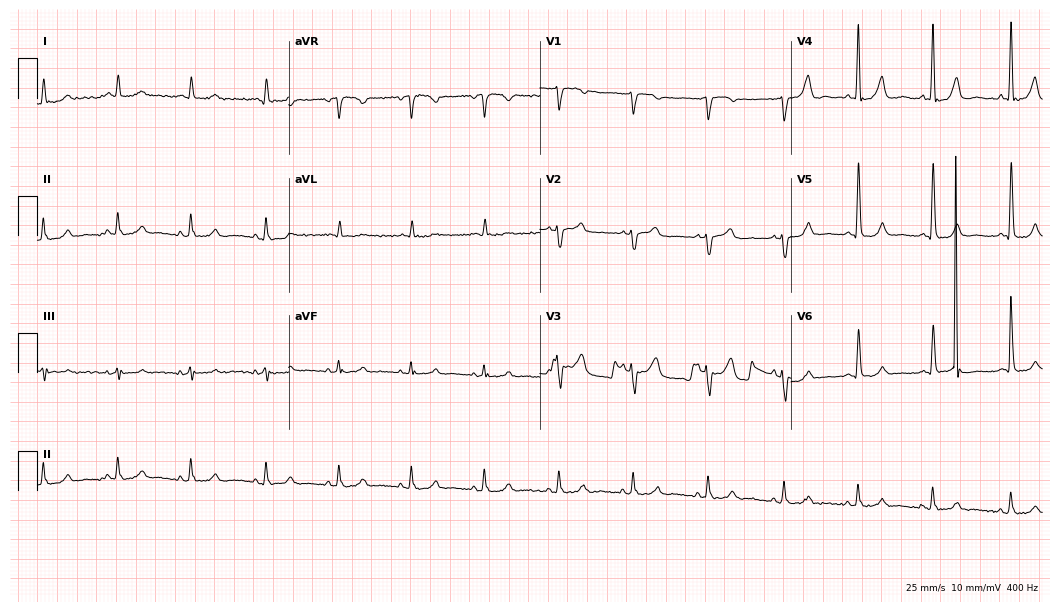
Standard 12-lead ECG recorded from a man, 71 years old. Read as a normal ECG.